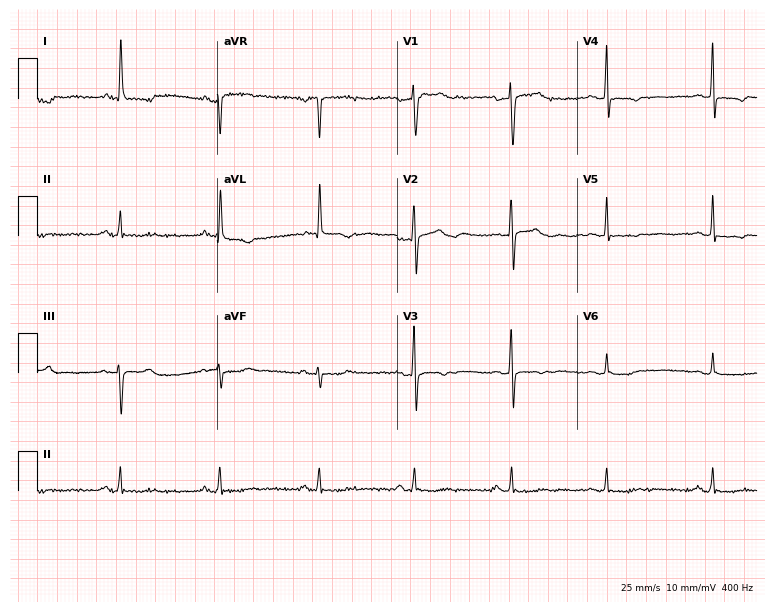
Electrocardiogram (7.3-second recording at 400 Hz), a female, 83 years old. Of the six screened findings (first-degree AV block, right bundle branch block, left bundle branch block, sinus bradycardia, atrial fibrillation, sinus tachycardia), none is recorded. Only these six findings were labelled.